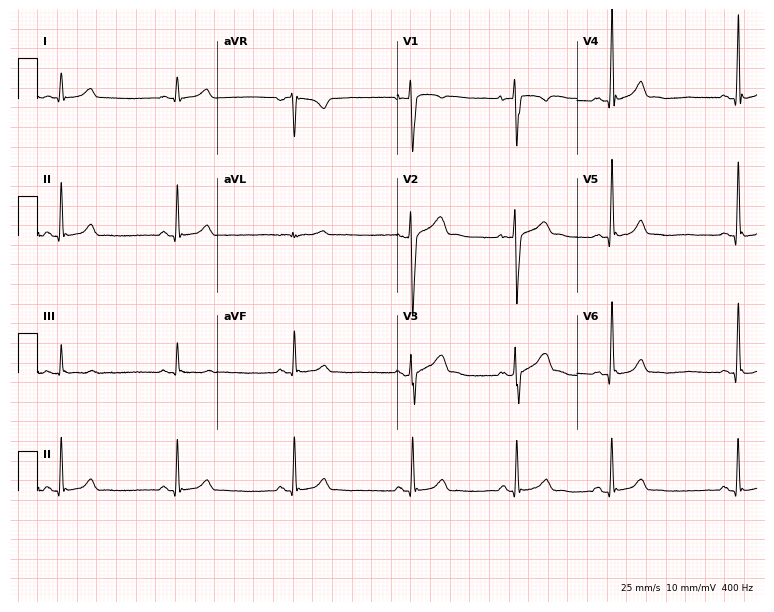
12-lead ECG (7.3-second recording at 400 Hz) from a male patient, 40 years old. Screened for six findings — first-degree AV block, right bundle branch block, left bundle branch block, sinus bradycardia, atrial fibrillation, sinus tachycardia — none is recorded. Other findings, if any, are not listed.